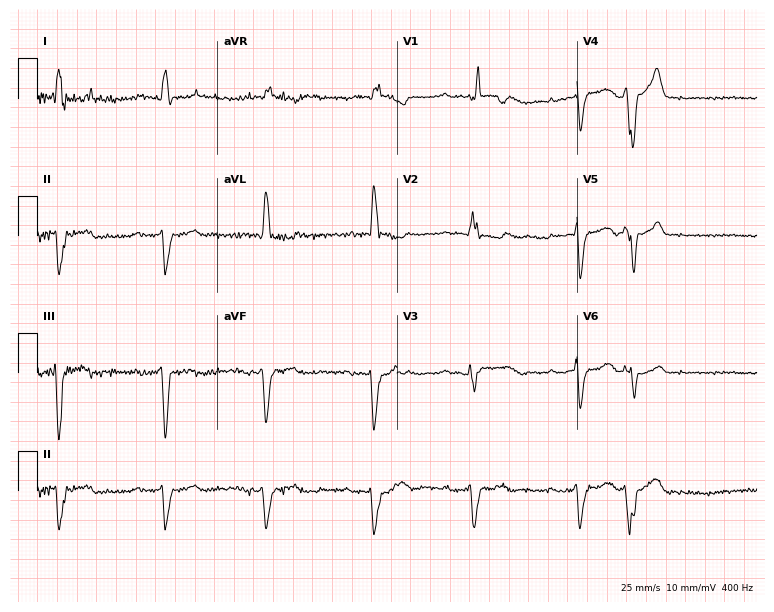
Standard 12-lead ECG recorded from a female patient, 66 years old. The tracing shows right bundle branch block.